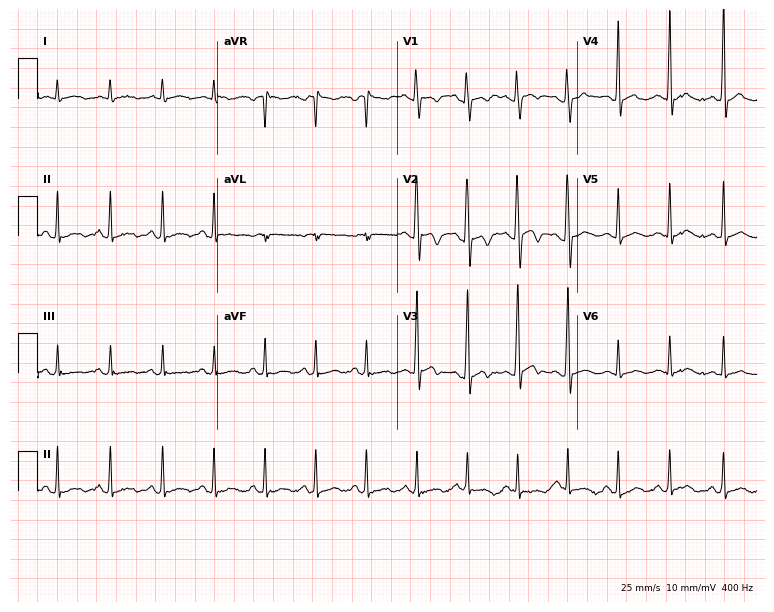
Standard 12-lead ECG recorded from a man, 20 years old (7.3-second recording at 400 Hz). The tracing shows sinus tachycardia (a sinus rate of 100 beats per minute or more).